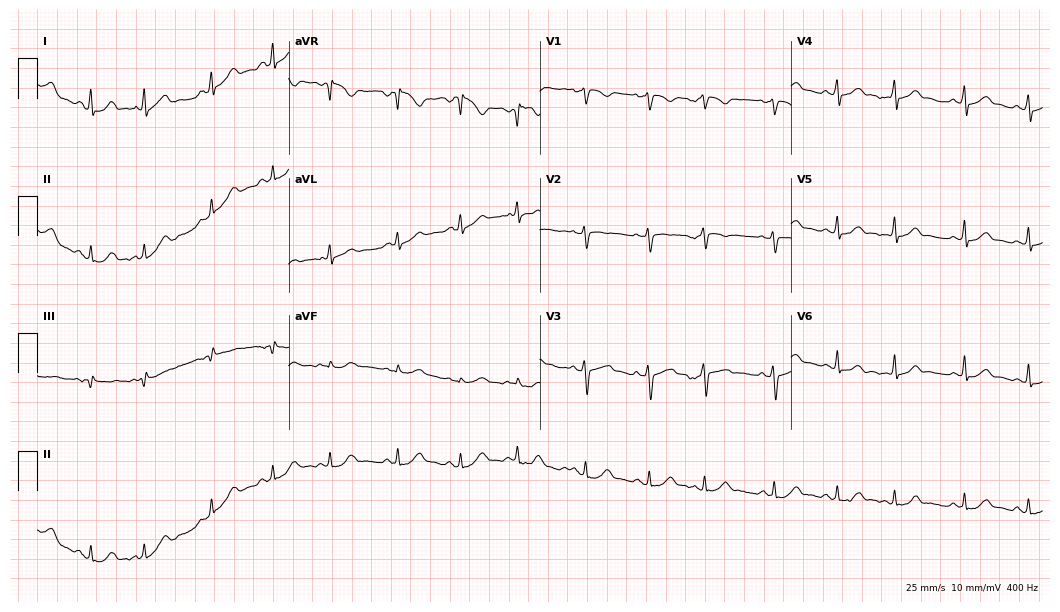
12-lead ECG (10.2-second recording at 400 Hz) from a 27-year-old female. Screened for six findings — first-degree AV block, right bundle branch block, left bundle branch block, sinus bradycardia, atrial fibrillation, sinus tachycardia — none is recorded. Other findings, if any, are not listed.